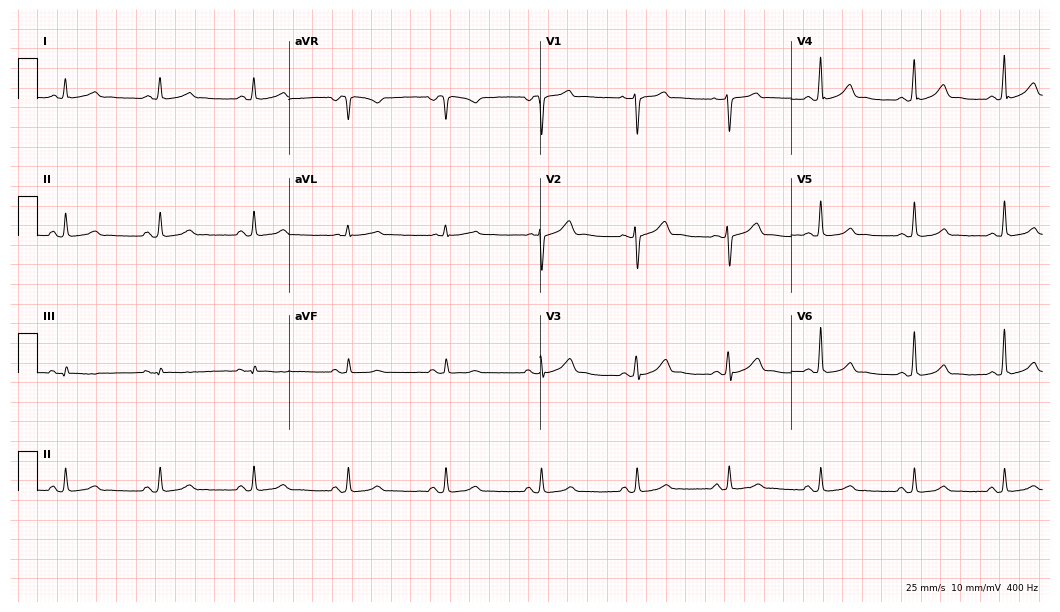
Resting 12-lead electrocardiogram. Patient: a woman, 44 years old. None of these six findings is recorded: first-degree AV block, right bundle branch block, left bundle branch block, sinus bradycardia, atrial fibrillation, sinus tachycardia.